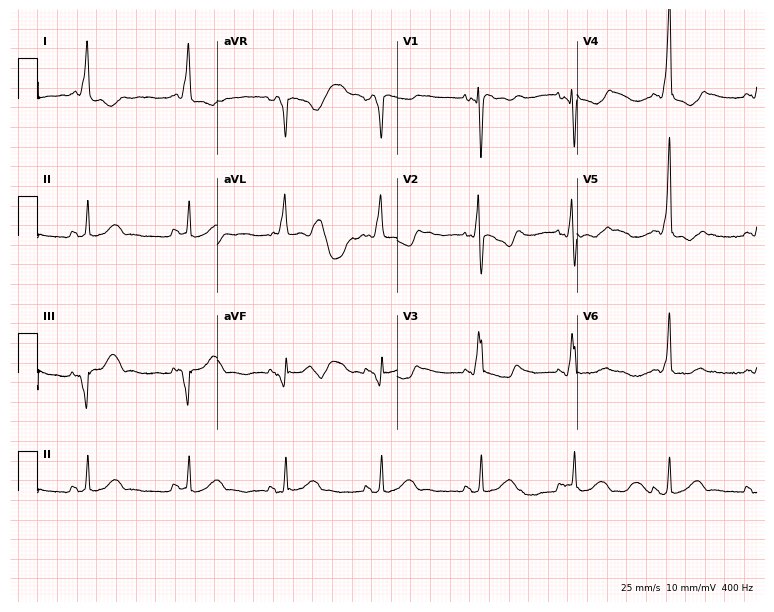
12-lead ECG from a woman, 28 years old. No first-degree AV block, right bundle branch block, left bundle branch block, sinus bradycardia, atrial fibrillation or sinus tachycardia recorded for this tracing. Findings outside these six are not listed.